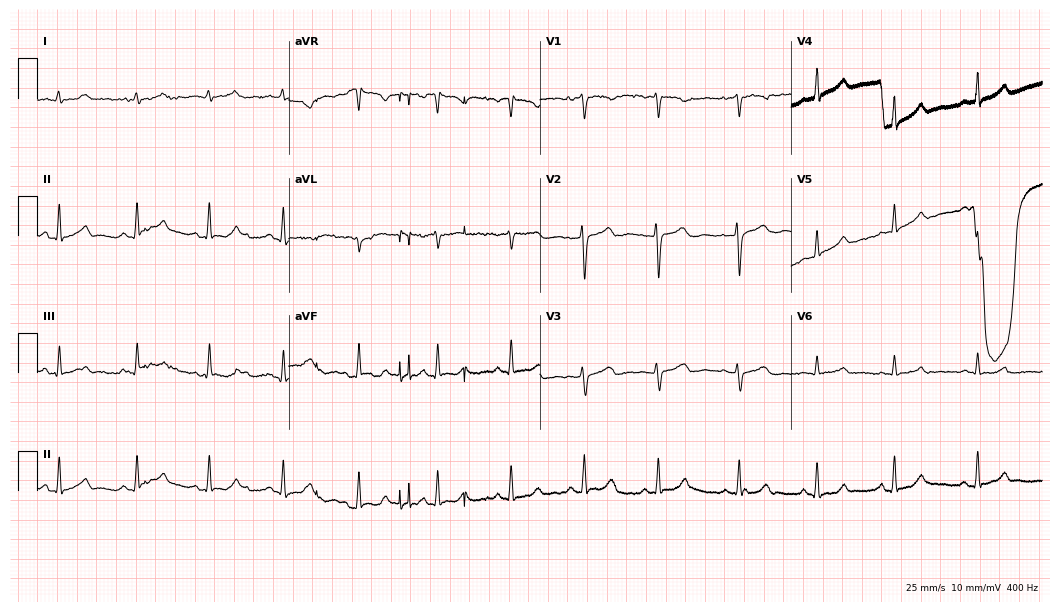
Standard 12-lead ECG recorded from a female patient, 26 years old (10.2-second recording at 400 Hz). None of these six findings is recorded: first-degree AV block, right bundle branch block, left bundle branch block, sinus bradycardia, atrial fibrillation, sinus tachycardia. Only these six findings were labelled.